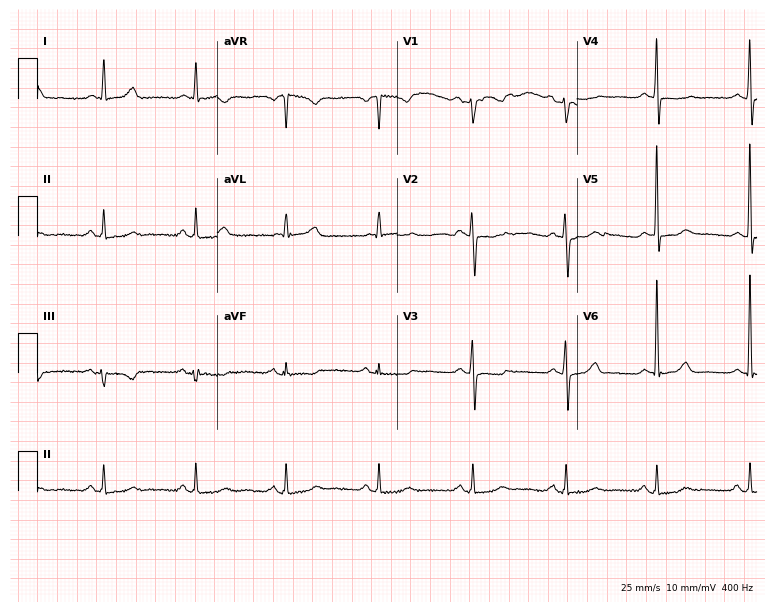
Resting 12-lead electrocardiogram. Patient: a 59-year-old woman. Read as a normal ECG.